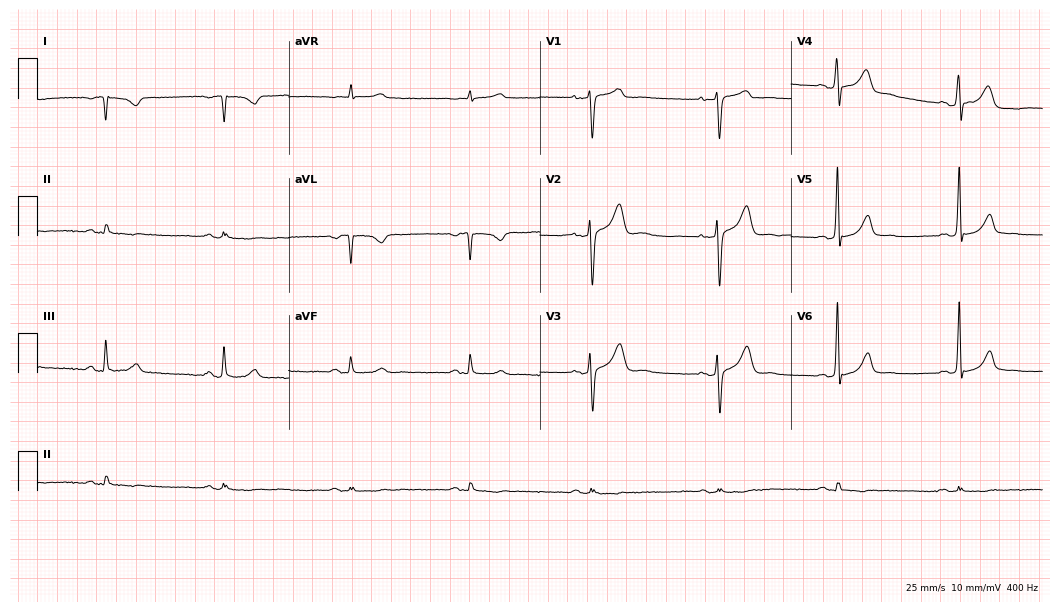
12-lead ECG from a male, 48 years old (10.2-second recording at 400 Hz). No first-degree AV block, right bundle branch block, left bundle branch block, sinus bradycardia, atrial fibrillation or sinus tachycardia recorded for this tracing.